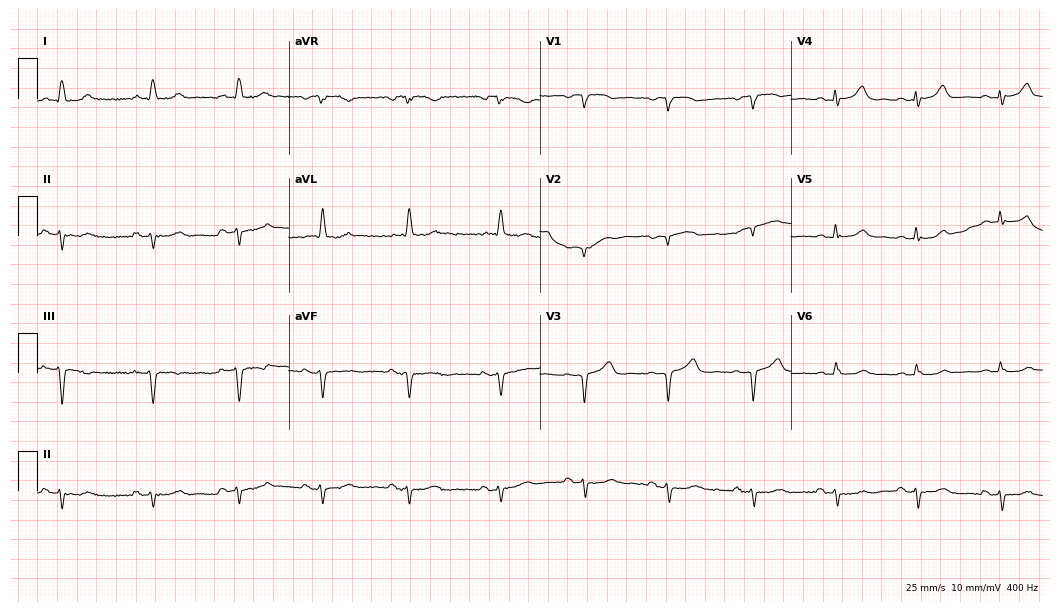
Electrocardiogram (10.2-second recording at 400 Hz), a 72-year-old woman. Of the six screened findings (first-degree AV block, right bundle branch block (RBBB), left bundle branch block (LBBB), sinus bradycardia, atrial fibrillation (AF), sinus tachycardia), none is recorded.